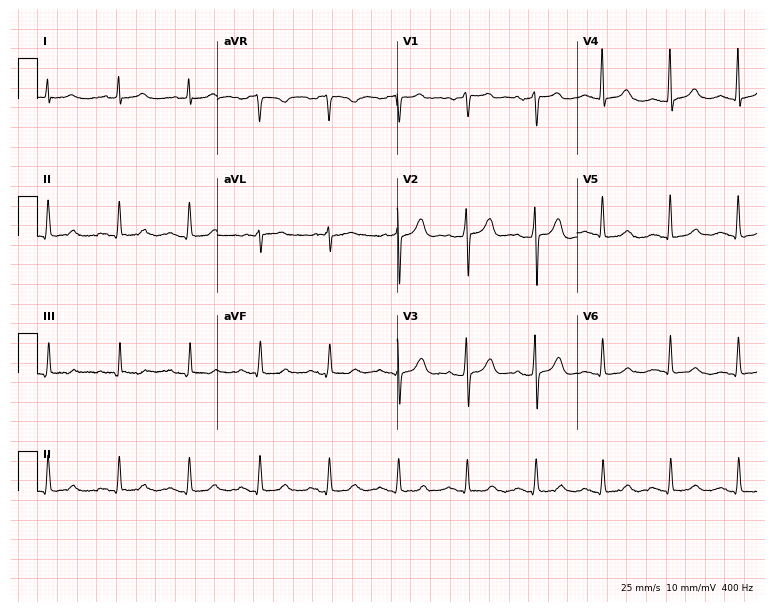
12-lead ECG from a man, 76 years old. Screened for six findings — first-degree AV block, right bundle branch block, left bundle branch block, sinus bradycardia, atrial fibrillation, sinus tachycardia — none is recorded.